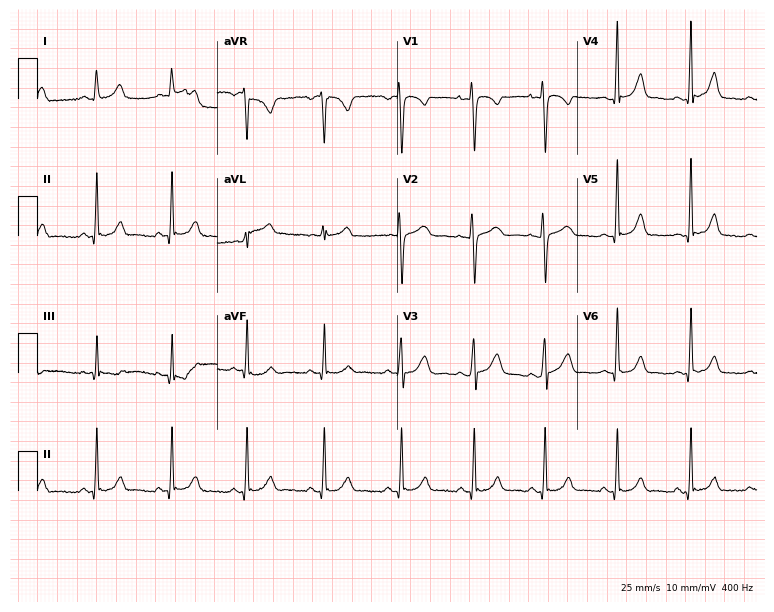
Electrocardiogram (7.3-second recording at 400 Hz), a 26-year-old female. Overall reading on record: normal ECG.